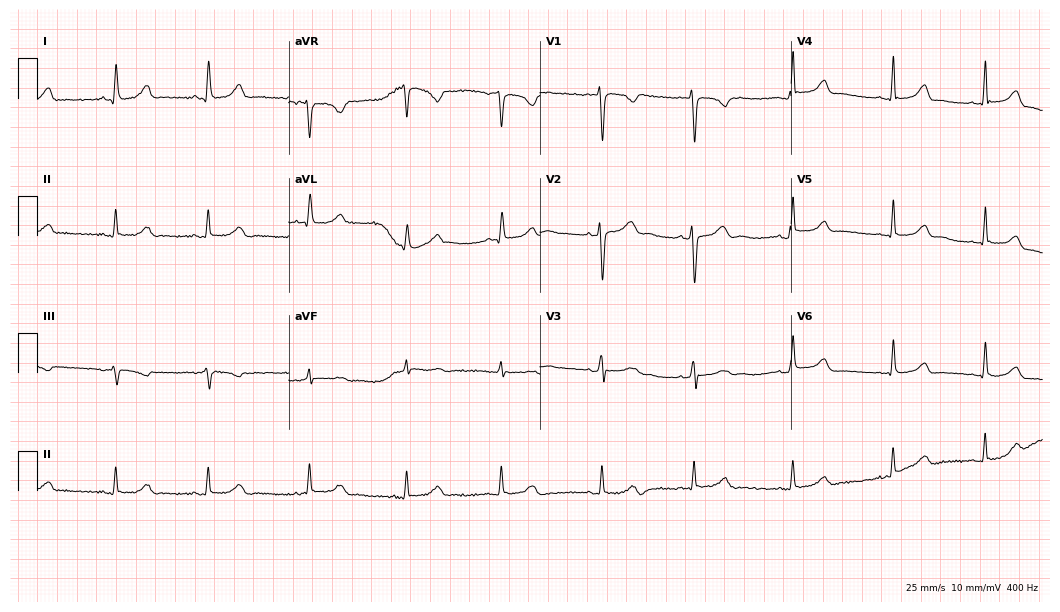
Resting 12-lead electrocardiogram (10.2-second recording at 400 Hz). Patient: a 23-year-old woman. Read as a normal ECG.